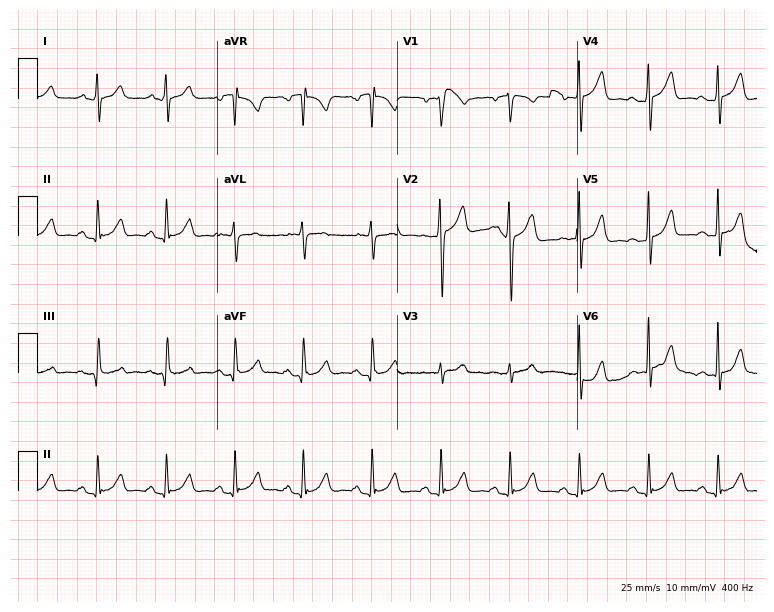
ECG — a 68-year-old male. Labelled as a normal ECG.